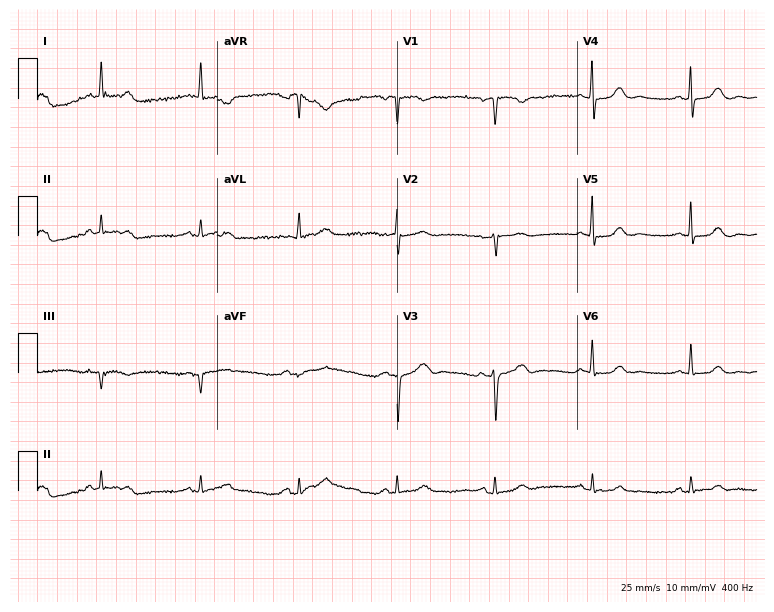
12-lead ECG from a 64-year-old female patient. No first-degree AV block, right bundle branch block, left bundle branch block, sinus bradycardia, atrial fibrillation or sinus tachycardia recorded for this tracing.